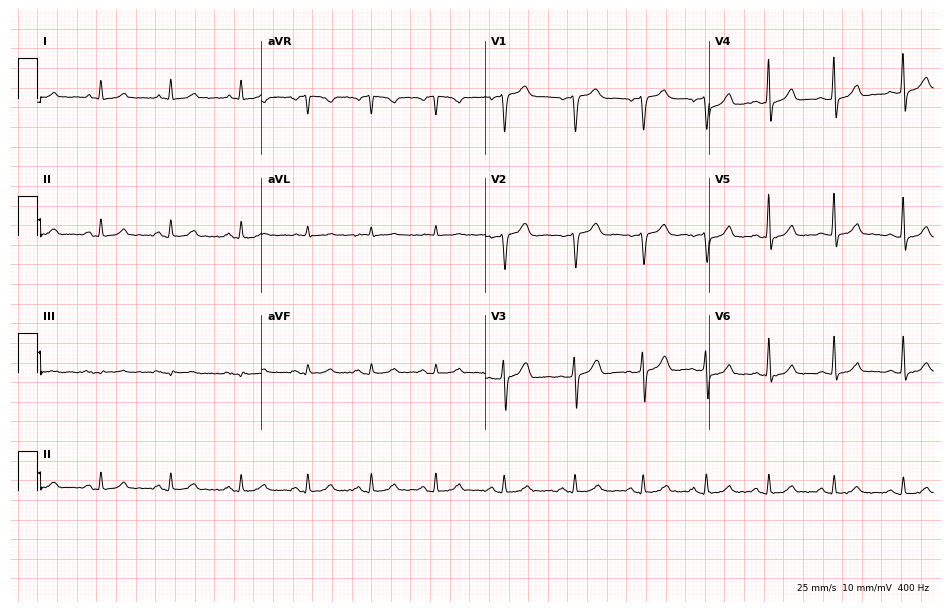
Resting 12-lead electrocardiogram. Patient: a man, 54 years old. None of these six findings is recorded: first-degree AV block, right bundle branch block, left bundle branch block, sinus bradycardia, atrial fibrillation, sinus tachycardia.